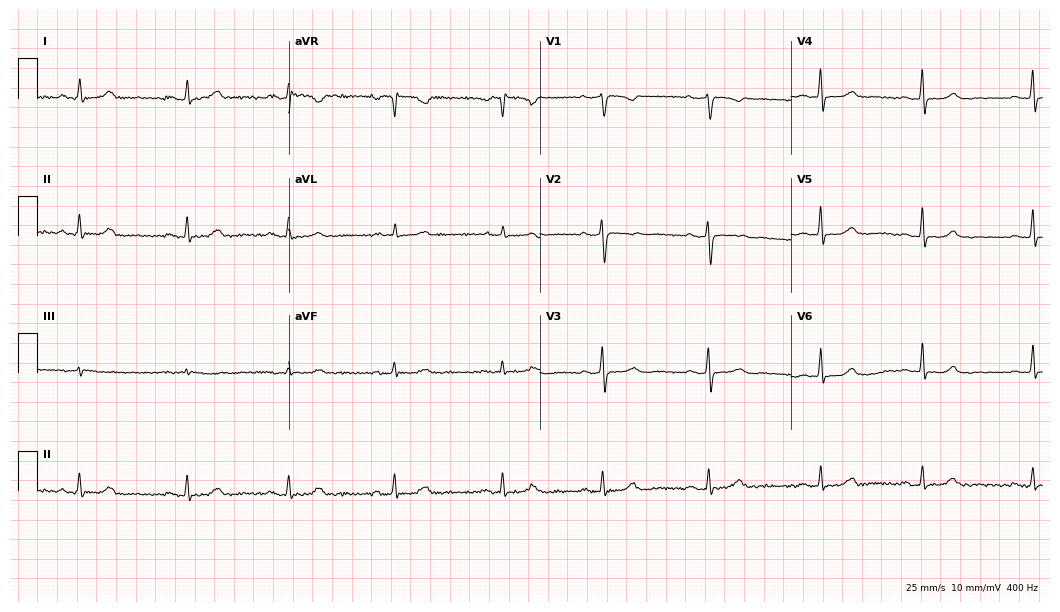
12-lead ECG from a female patient, 46 years old. Labelled as a normal ECG.